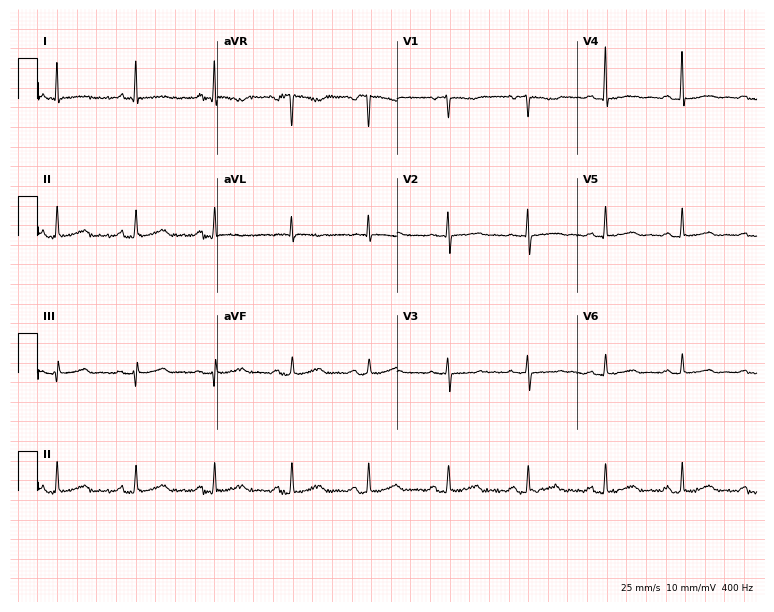
Electrocardiogram (7.3-second recording at 400 Hz), a 43-year-old female. Of the six screened findings (first-degree AV block, right bundle branch block, left bundle branch block, sinus bradycardia, atrial fibrillation, sinus tachycardia), none is recorded.